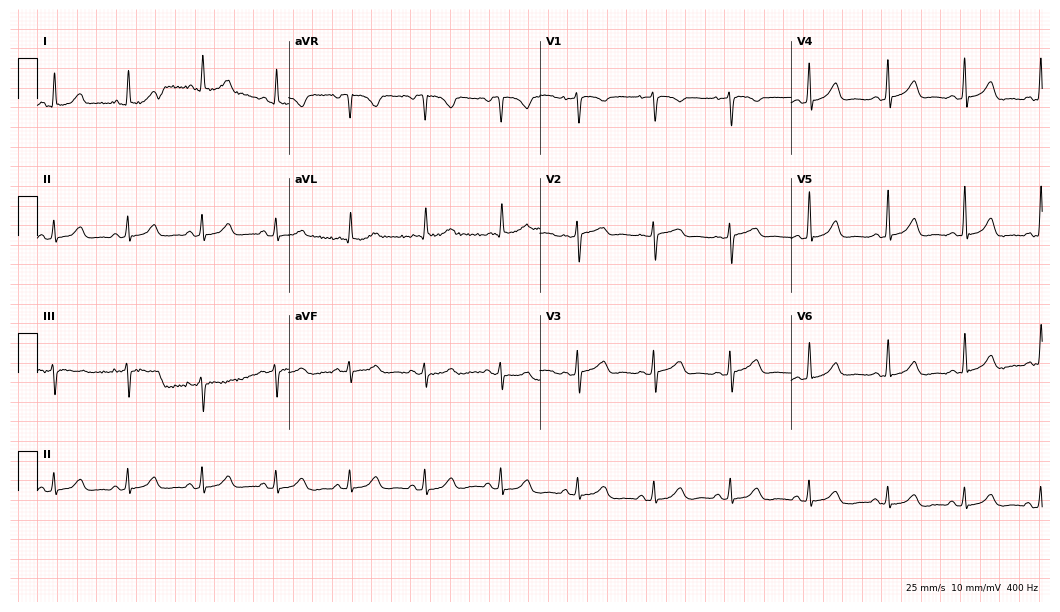
12-lead ECG from a woman, 61 years old. Recorded interpretation: within normal limits.